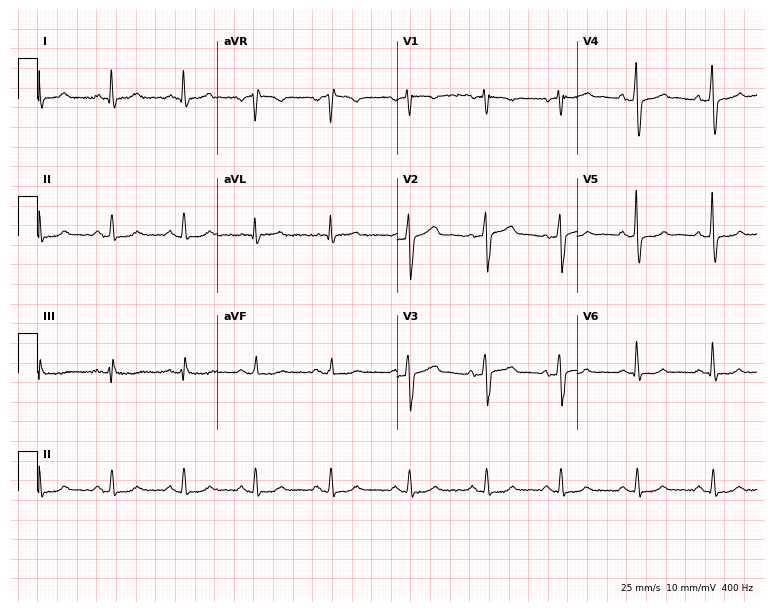
ECG (7.3-second recording at 400 Hz) — a man, 69 years old. Screened for six findings — first-degree AV block, right bundle branch block (RBBB), left bundle branch block (LBBB), sinus bradycardia, atrial fibrillation (AF), sinus tachycardia — none is recorded.